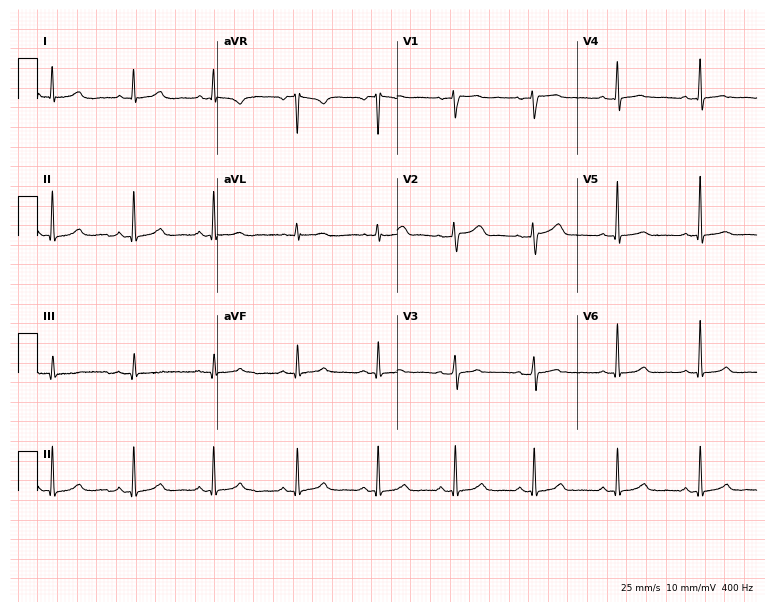
12-lead ECG from a female, 46 years old. Labelled as a normal ECG.